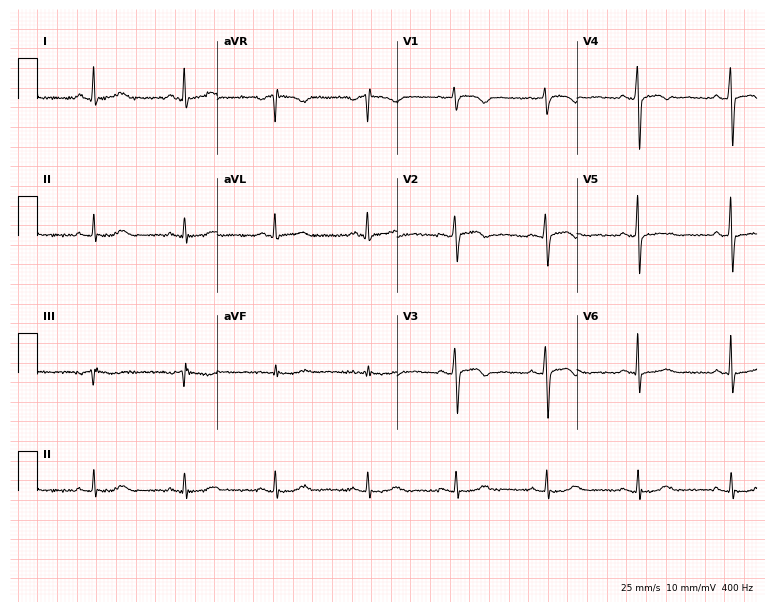
Standard 12-lead ECG recorded from a female, 54 years old (7.3-second recording at 400 Hz). None of these six findings is recorded: first-degree AV block, right bundle branch block, left bundle branch block, sinus bradycardia, atrial fibrillation, sinus tachycardia. Other findings, if any, are not listed.